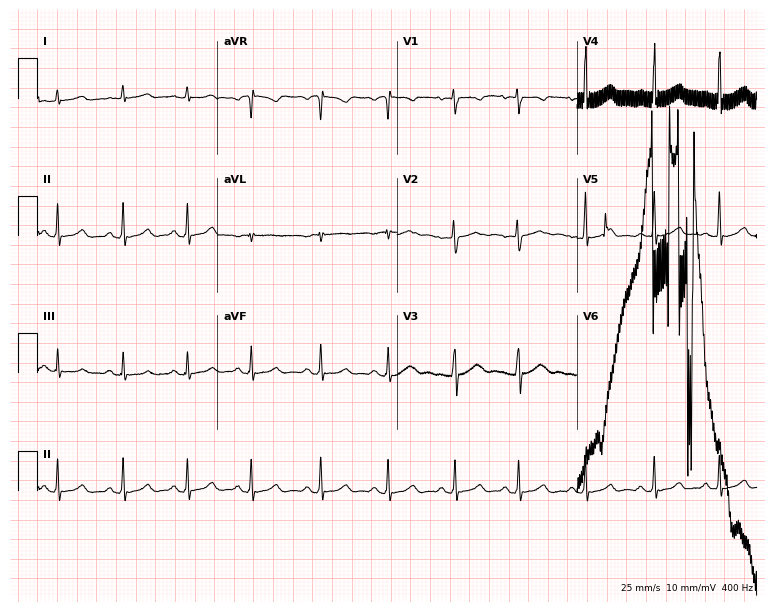
Electrocardiogram, a 31-year-old female patient. Of the six screened findings (first-degree AV block, right bundle branch block, left bundle branch block, sinus bradycardia, atrial fibrillation, sinus tachycardia), none is recorded. Findings outside these six are not listed.